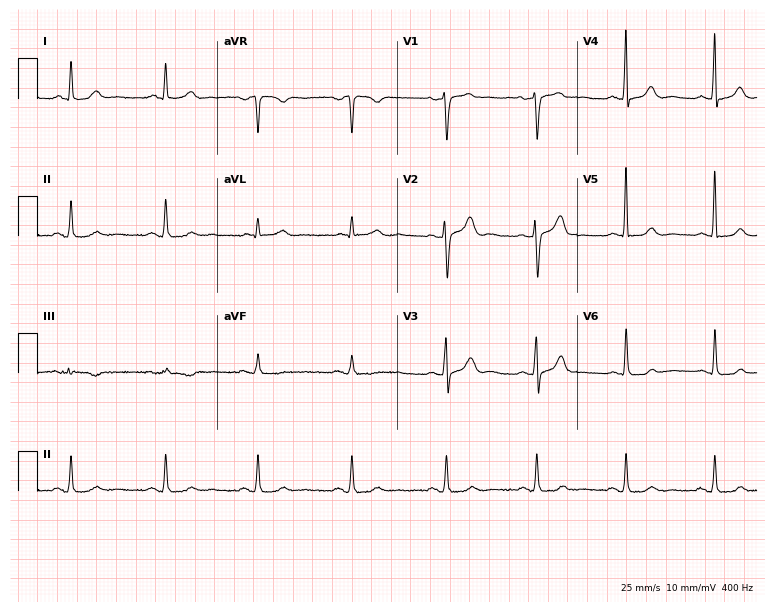
12-lead ECG from a 60-year-old male patient. Recorded interpretation: within normal limits.